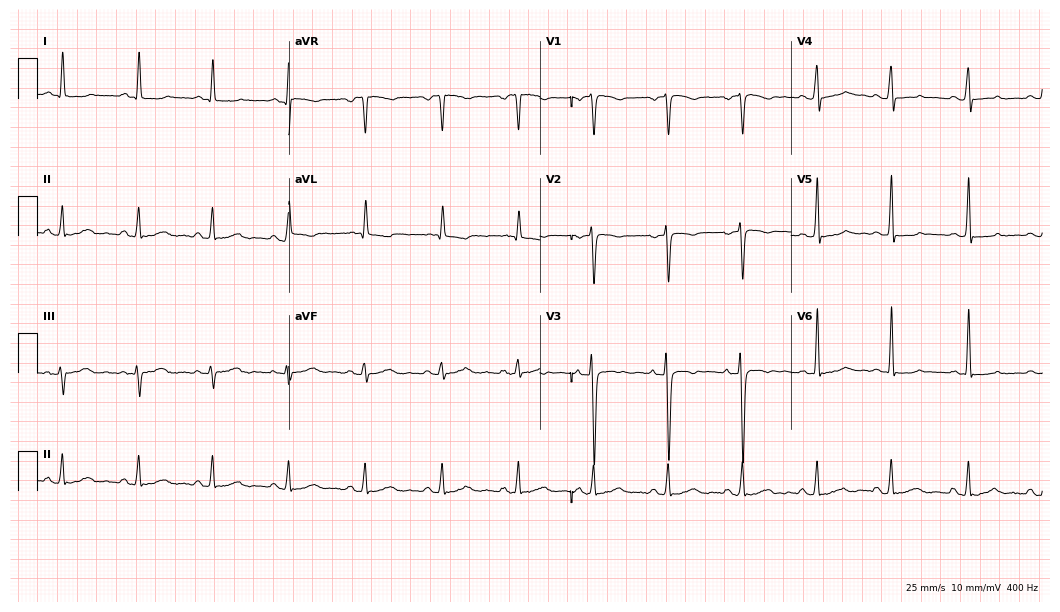
ECG (10.2-second recording at 400 Hz) — a 36-year-old woman. Screened for six findings — first-degree AV block, right bundle branch block, left bundle branch block, sinus bradycardia, atrial fibrillation, sinus tachycardia — none is recorded.